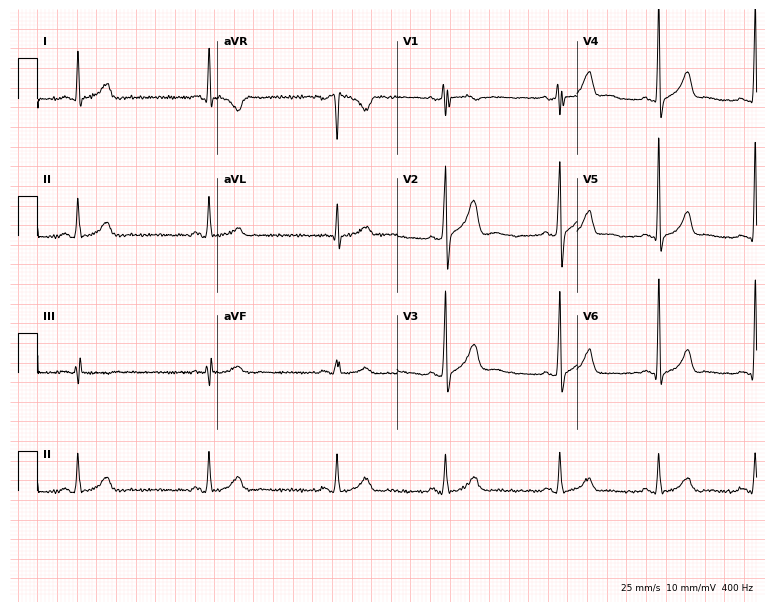
Electrocardiogram (7.3-second recording at 400 Hz), a male, 53 years old. Of the six screened findings (first-degree AV block, right bundle branch block (RBBB), left bundle branch block (LBBB), sinus bradycardia, atrial fibrillation (AF), sinus tachycardia), none is recorded.